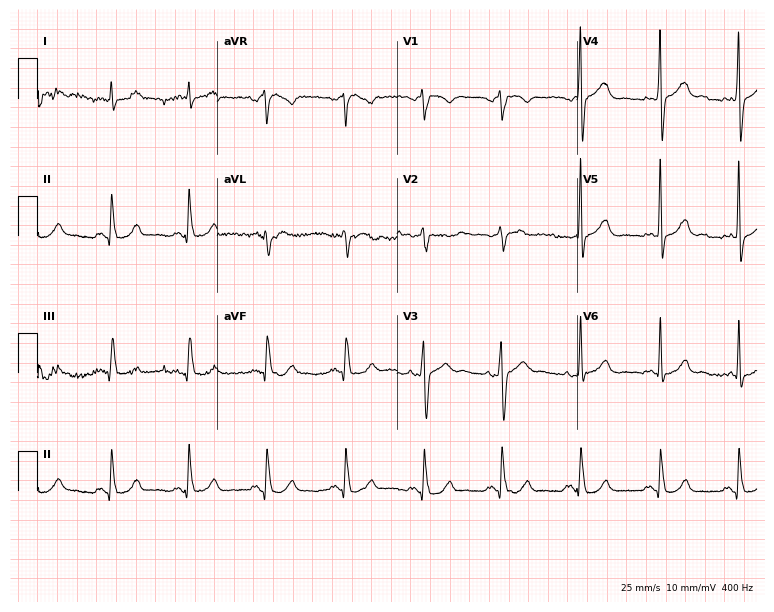
12-lead ECG (7.3-second recording at 400 Hz) from a 70-year-old male. Screened for six findings — first-degree AV block, right bundle branch block, left bundle branch block, sinus bradycardia, atrial fibrillation, sinus tachycardia — none is recorded. Findings outside these six are not listed.